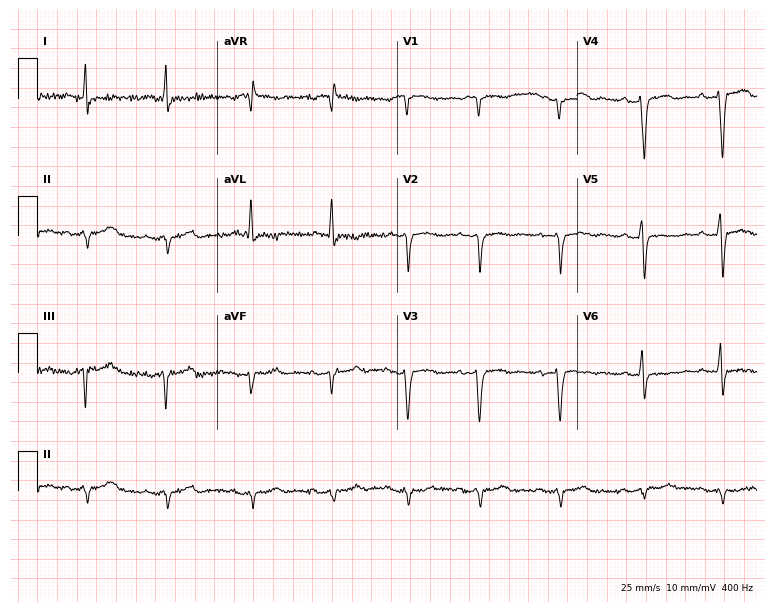
ECG (7.3-second recording at 400 Hz) — a woman, 72 years old. Screened for six findings — first-degree AV block, right bundle branch block, left bundle branch block, sinus bradycardia, atrial fibrillation, sinus tachycardia — none is recorded.